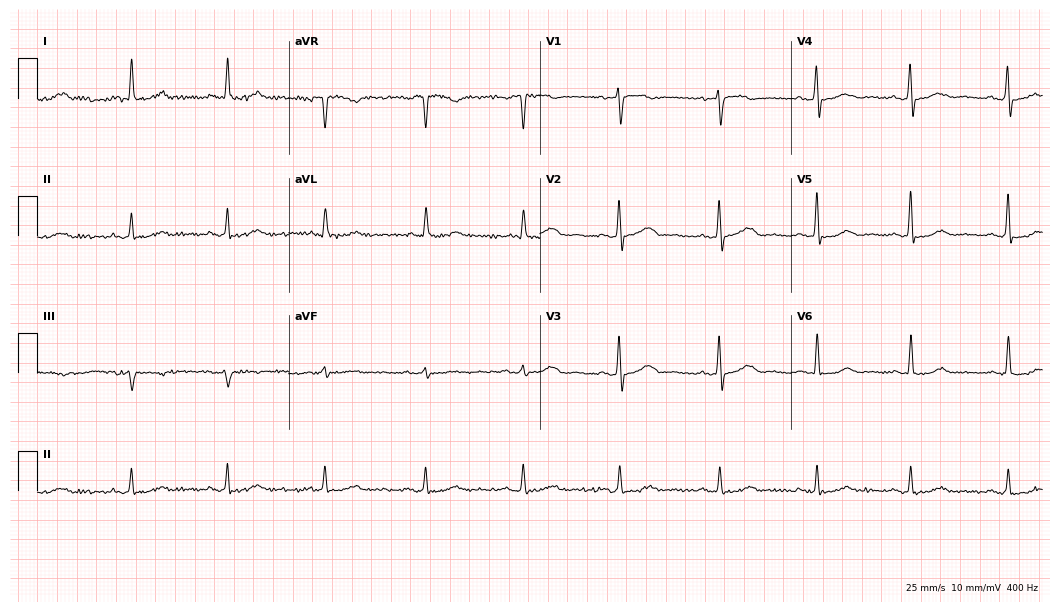
Electrocardiogram, a female patient, 52 years old. Overall reading on record: normal ECG.